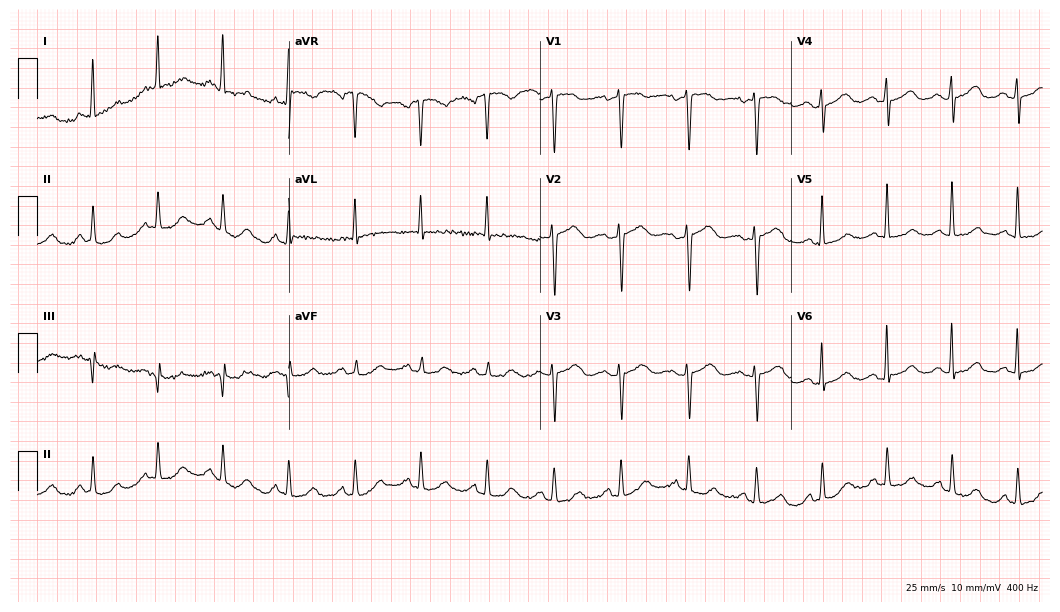
Electrocardiogram (10.2-second recording at 400 Hz), a female patient, 57 years old. Overall reading on record: normal ECG.